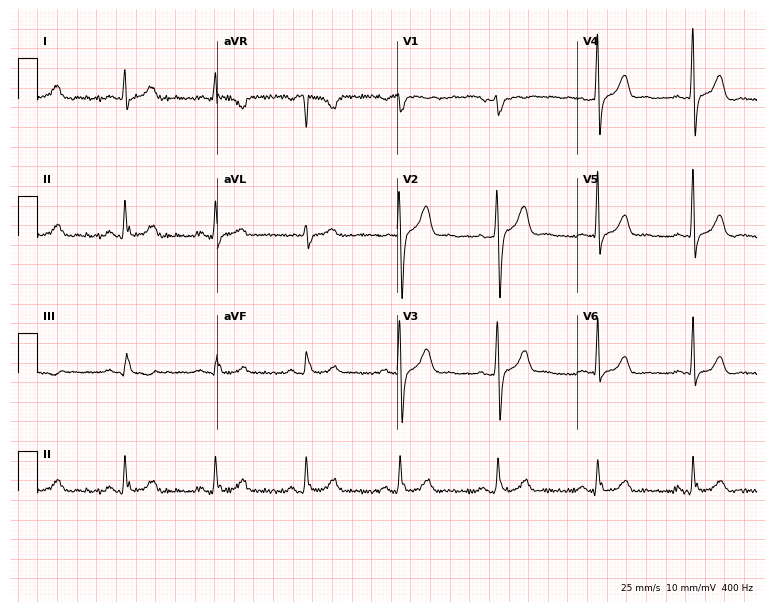
Electrocardiogram, a male, 50 years old. Of the six screened findings (first-degree AV block, right bundle branch block, left bundle branch block, sinus bradycardia, atrial fibrillation, sinus tachycardia), none is recorded. Other findings, if any, are not listed.